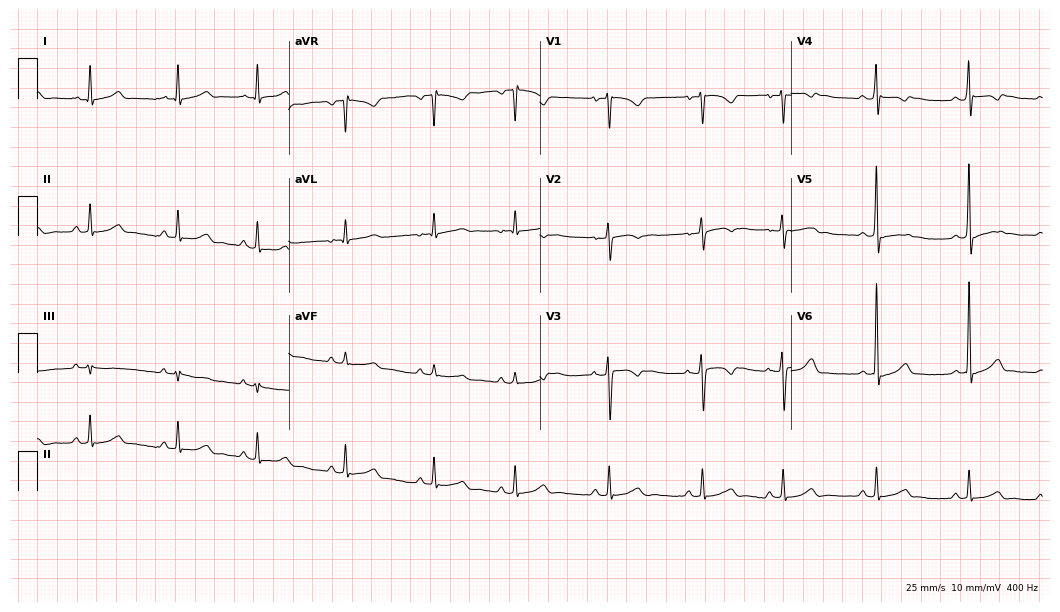
Electrocardiogram (10.2-second recording at 400 Hz), a 19-year-old female patient. Overall reading on record: normal ECG.